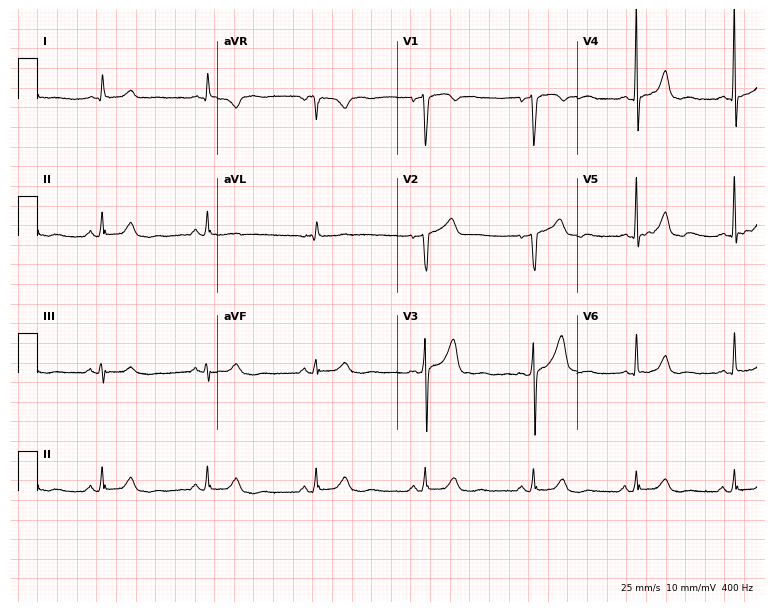
Resting 12-lead electrocardiogram. Patient: a woman, 48 years old. Read as a normal ECG.